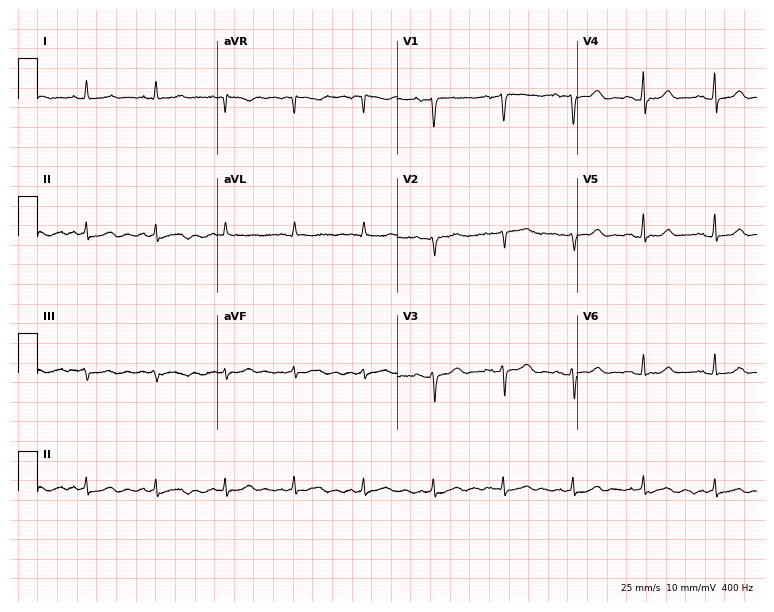
Electrocardiogram (7.3-second recording at 400 Hz), a woman, 73 years old. Overall reading on record: normal ECG.